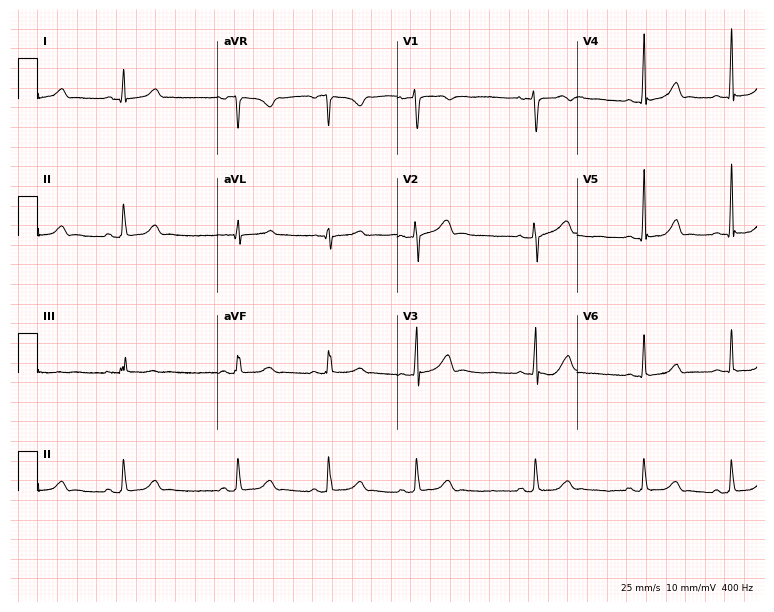
12-lead ECG from a 29-year-old woman. Recorded interpretation: within normal limits.